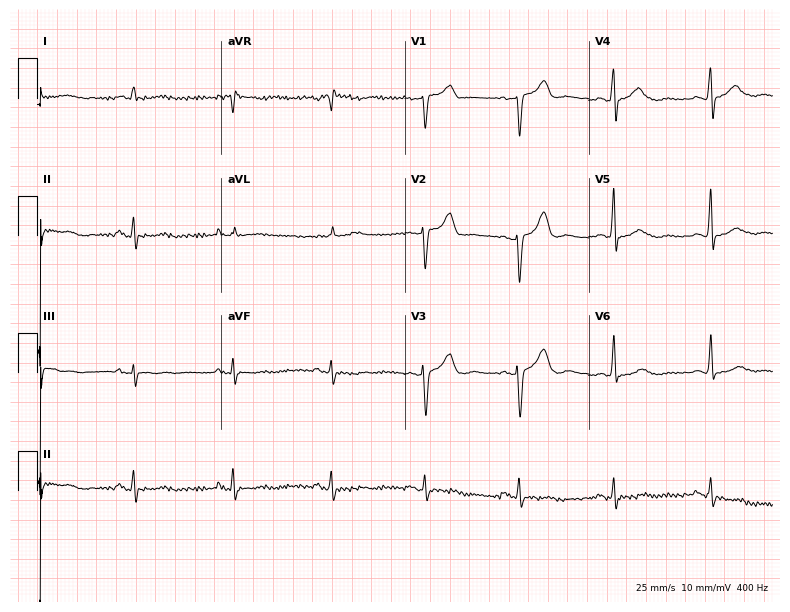
Standard 12-lead ECG recorded from a 72-year-old female (7.5-second recording at 400 Hz). None of these six findings is recorded: first-degree AV block, right bundle branch block, left bundle branch block, sinus bradycardia, atrial fibrillation, sinus tachycardia. Only these six findings were labelled.